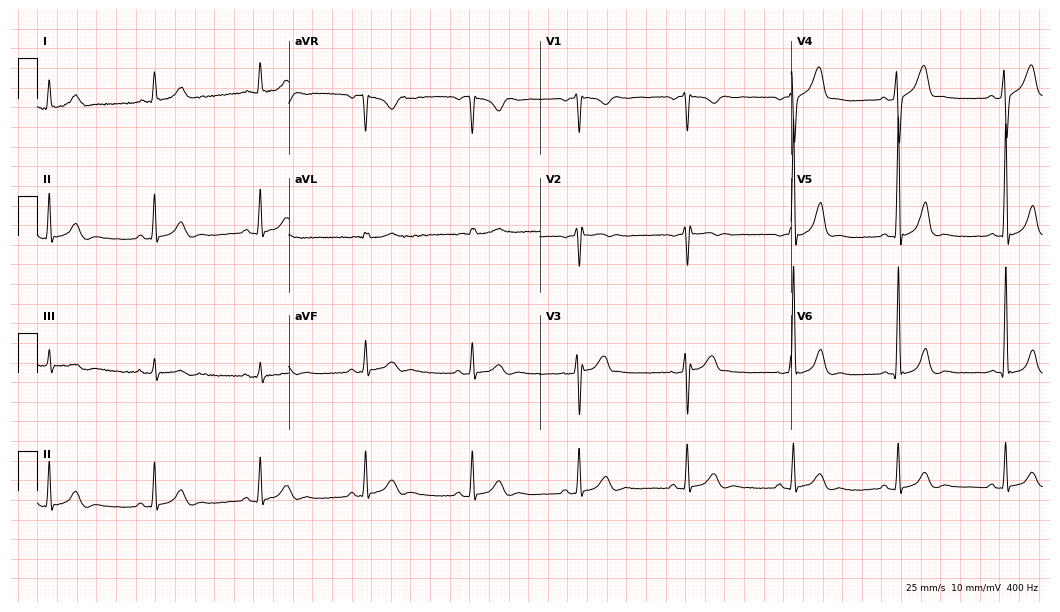
12-lead ECG from a male, 70 years old (10.2-second recording at 400 Hz). Recorded interpretation: within normal limits.